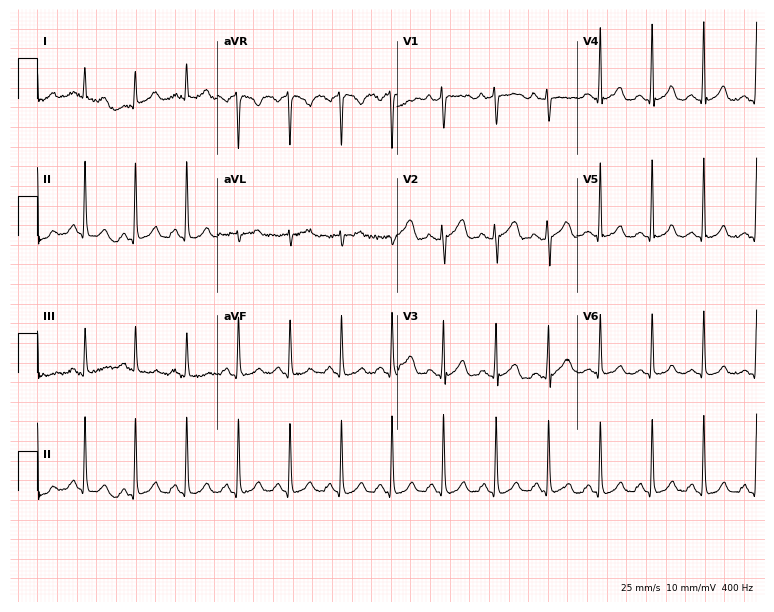
Standard 12-lead ECG recorded from a 23-year-old woman. The tracing shows sinus tachycardia (a sinus rate of 100 beats per minute or more).